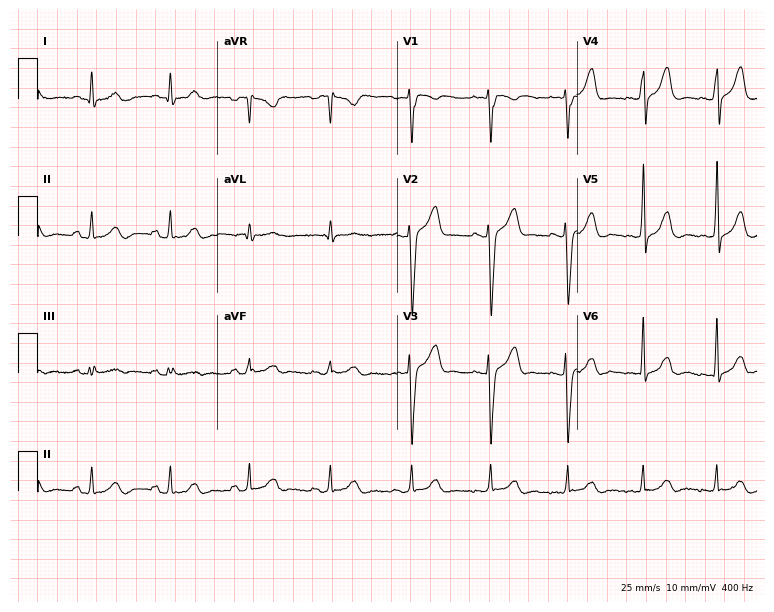
Electrocardiogram (7.3-second recording at 400 Hz), a 34-year-old male patient. Overall reading on record: normal ECG.